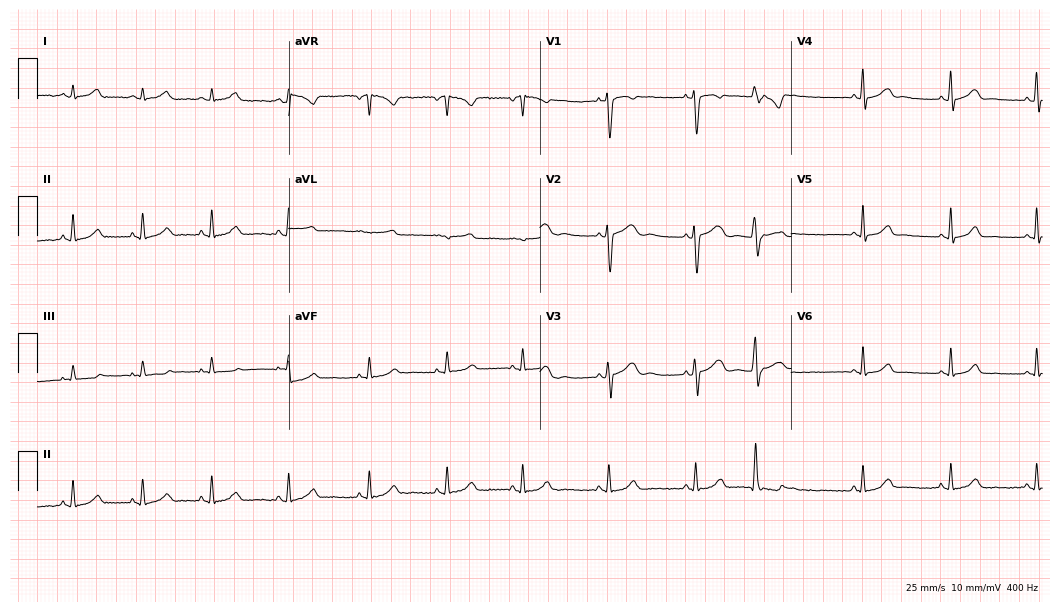
12-lead ECG from a female patient, 25 years old (10.2-second recording at 400 Hz). No first-degree AV block, right bundle branch block, left bundle branch block, sinus bradycardia, atrial fibrillation or sinus tachycardia recorded for this tracing. Only these six findings were labelled.